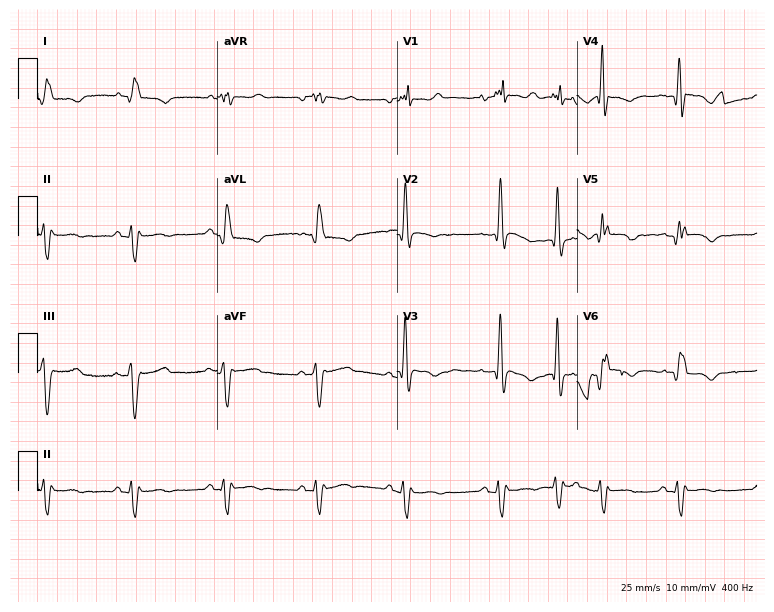
Resting 12-lead electrocardiogram (7.3-second recording at 400 Hz). Patient: a 49-year-old female. None of these six findings is recorded: first-degree AV block, right bundle branch block, left bundle branch block, sinus bradycardia, atrial fibrillation, sinus tachycardia. Only these six findings were labelled.